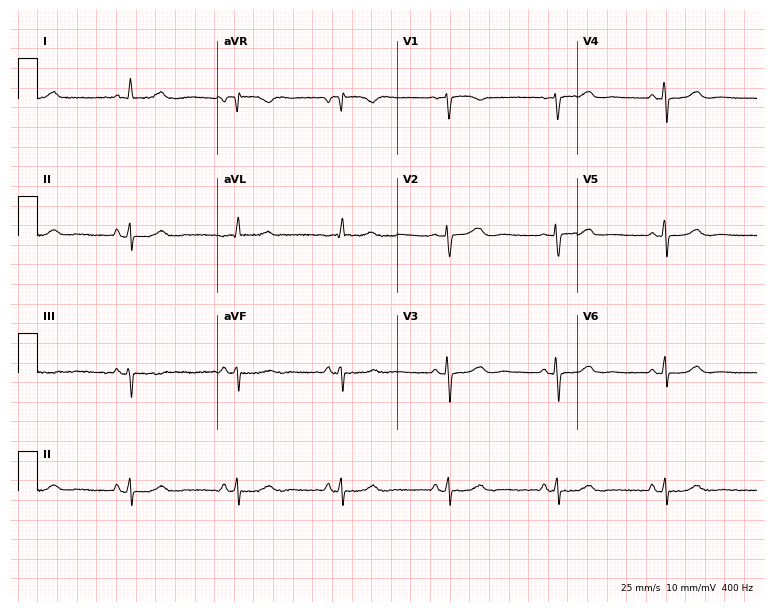
Resting 12-lead electrocardiogram (7.3-second recording at 400 Hz). Patient: a female, 63 years old. Read as a normal ECG.